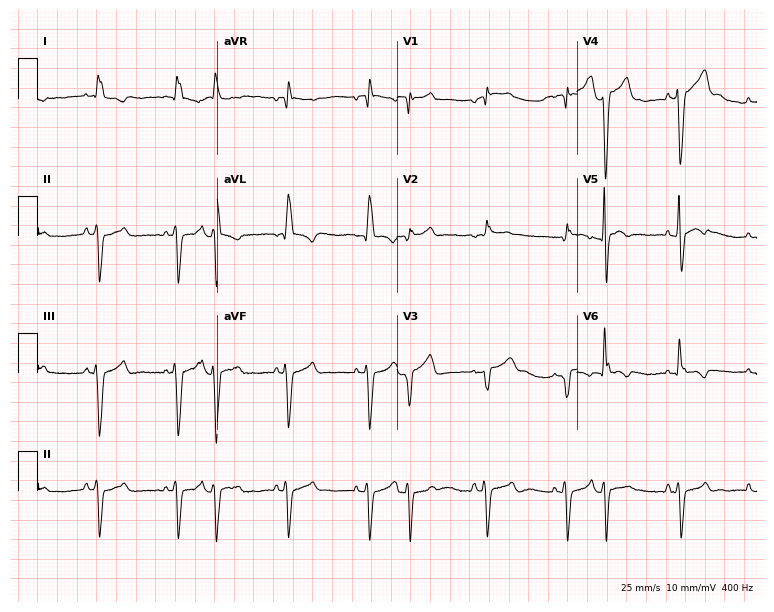
12-lead ECG from a 54-year-old man (7.3-second recording at 400 Hz). No first-degree AV block, right bundle branch block, left bundle branch block, sinus bradycardia, atrial fibrillation or sinus tachycardia recorded for this tracing.